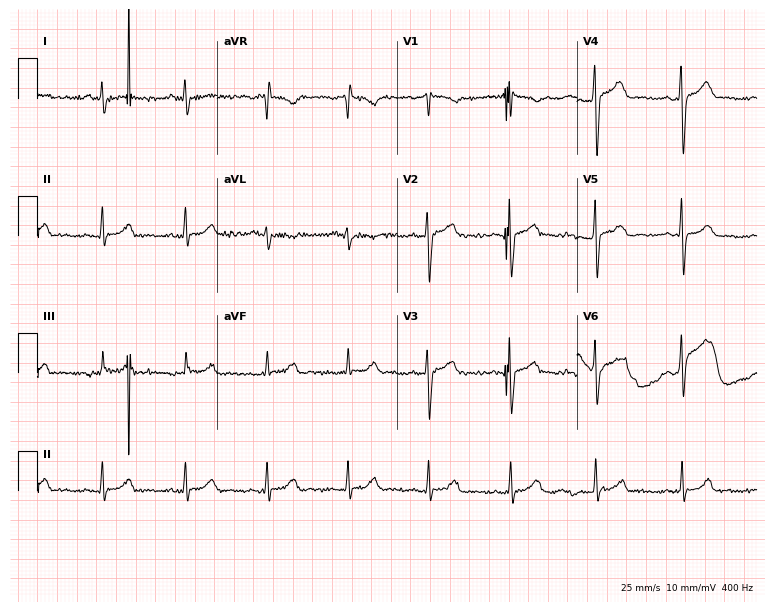
Standard 12-lead ECG recorded from a 41-year-old male. None of these six findings is recorded: first-degree AV block, right bundle branch block, left bundle branch block, sinus bradycardia, atrial fibrillation, sinus tachycardia.